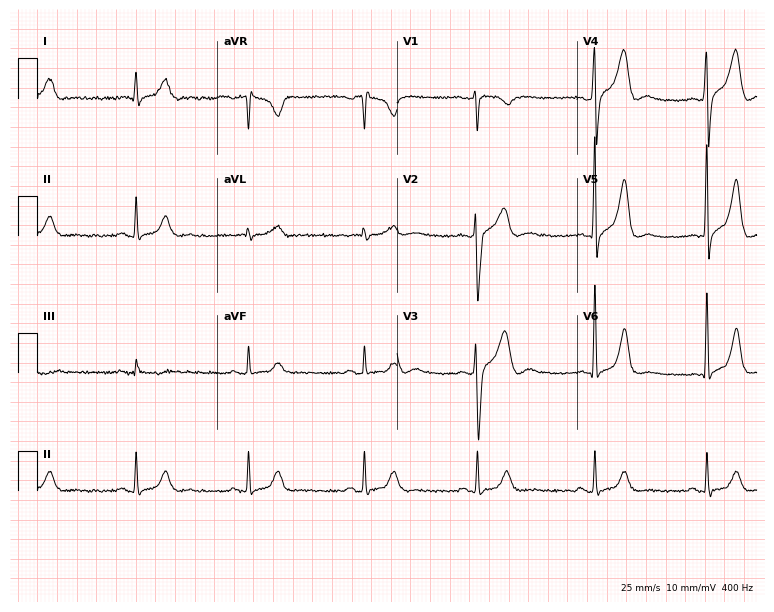
Electrocardiogram (7.3-second recording at 400 Hz), a 38-year-old male. Overall reading on record: normal ECG.